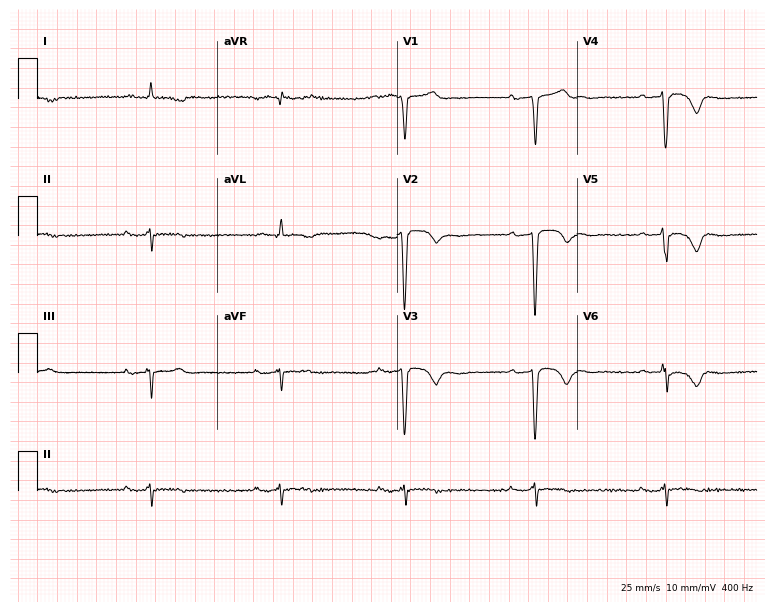
ECG — a 78-year-old male. Findings include first-degree AV block, sinus bradycardia (a sinus rate of 50 beats per minute or less).